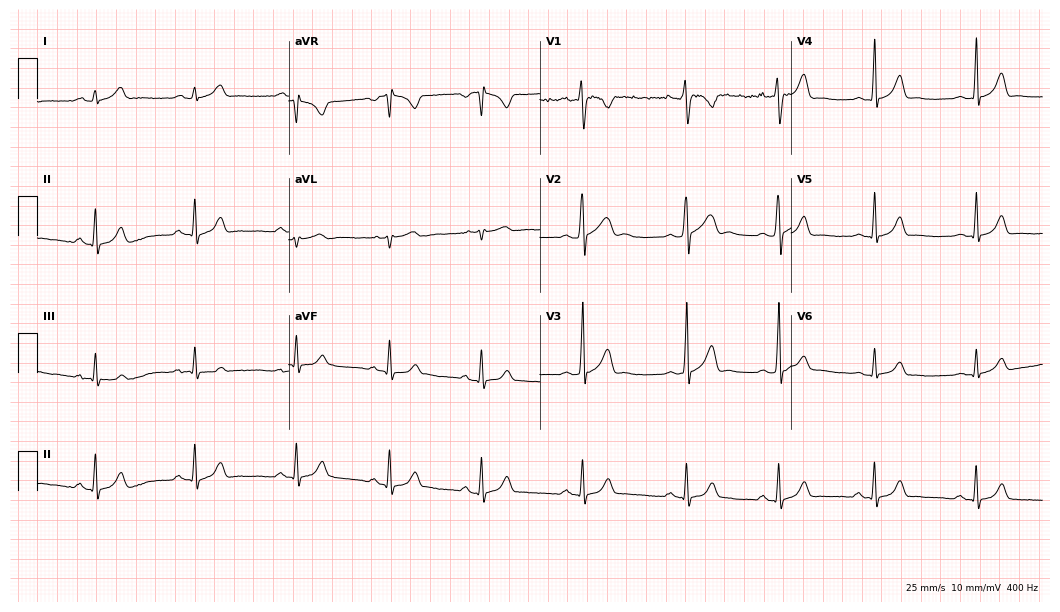
ECG — a man, 21 years old. Labelled as a normal ECG.